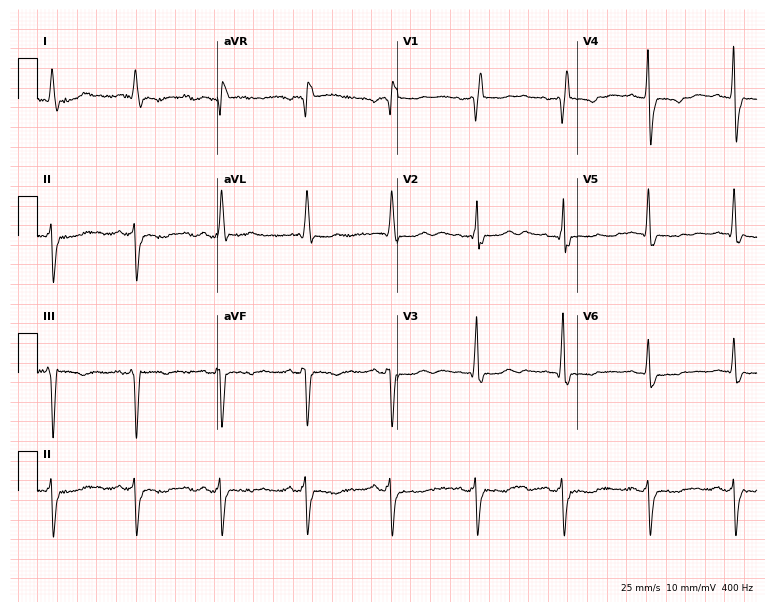
ECG (7.3-second recording at 400 Hz) — a woman, 57 years old. Findings include right bundle branch block.